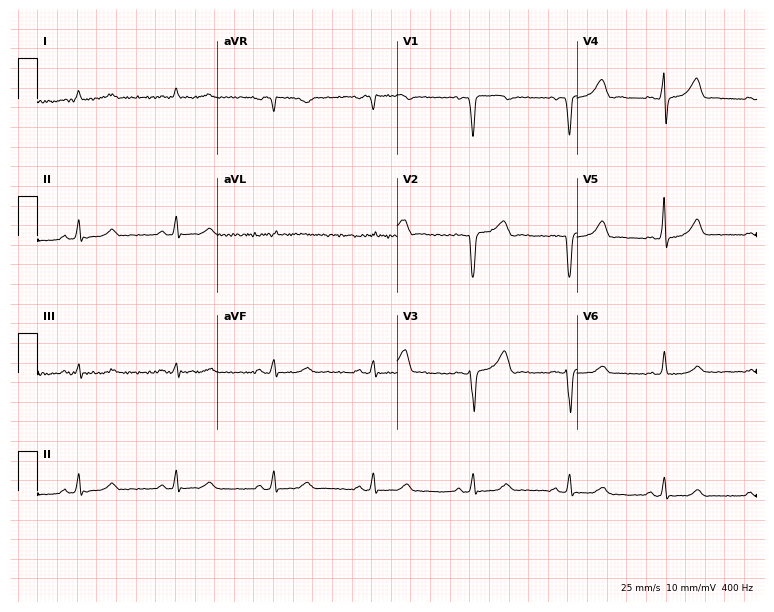
Resting 12-lead electrocardiogram (7.3-second recording at 400 Hz). Patient: a 60-year-old man. None of these six findings is recorded: first-degree AV block, right bundle branch block, left bundle branch block, sinus bradycardia, atrial fibrillation, sinus tachycardia. Only these six findings were labelled.